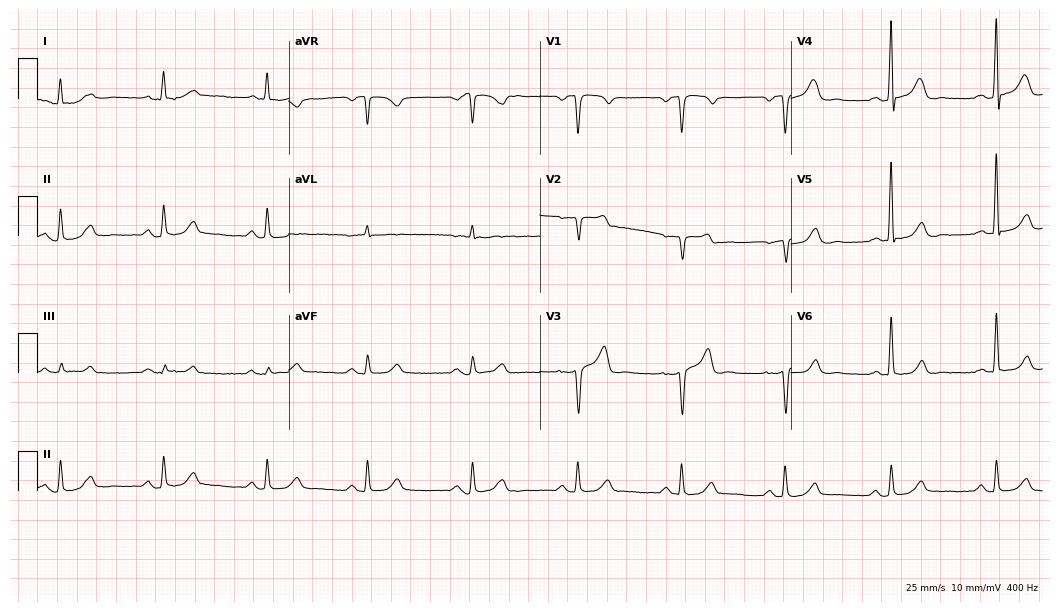
12-lead ECG from a man, 55 years old. No first-degree AV block, right bundle branch block, left bundle branch block, sinus bradycardia, atrial fibrillation or sinus tachycardia recorded for this tracing.